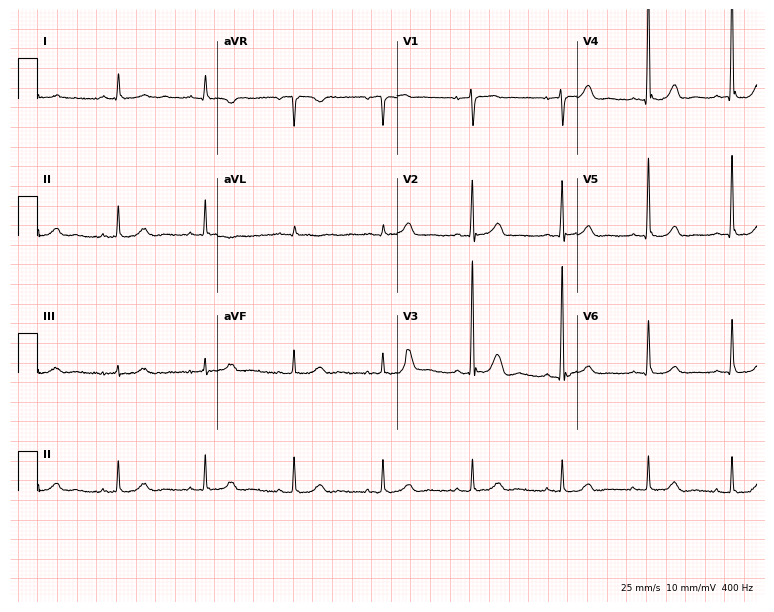
12-lead ECG from a female, 81 years old (7.3-second recording at 400 Hz). No first-degree AV block, right bundle branch block (RBBB), left bundle branch block (LBBB), sinus bradycardia, atrial fibrillation (AF) or sinus tachycardia recorded for this tracing.